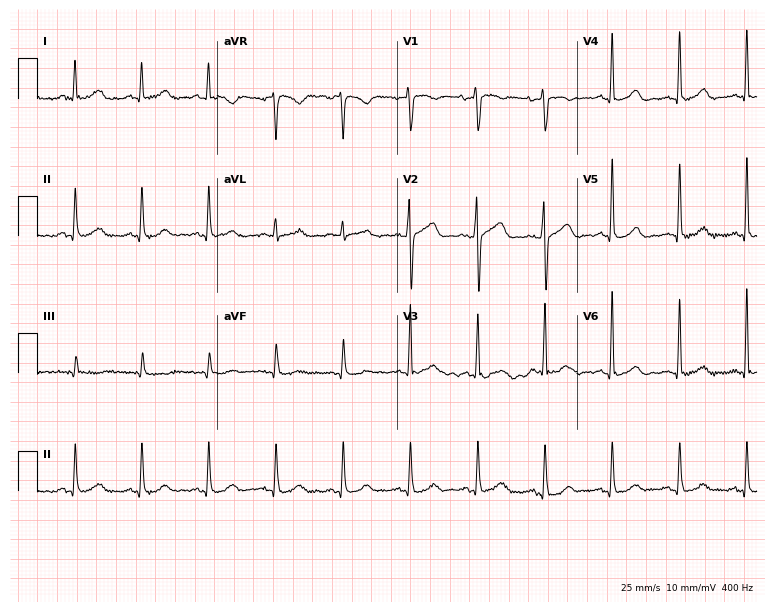
ECG (7.3-second recording at 400 Hz) — a 68-year-old male patient. Labelled as a normal ECG.